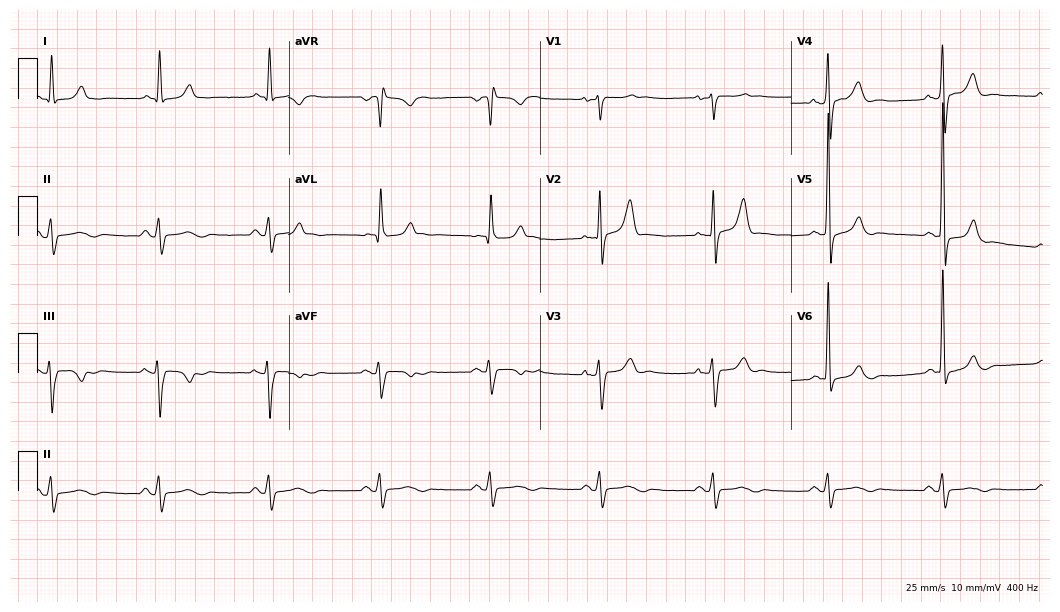
12-lead ECG from a man, 70 years old. Screened for six findings — first-degree AV block, right bundle branch block (RBBB), left bundle branch block (LBBB), sinus bradycardia, atrial fibrillation (AF), sinus tachycardia — none is recorded.